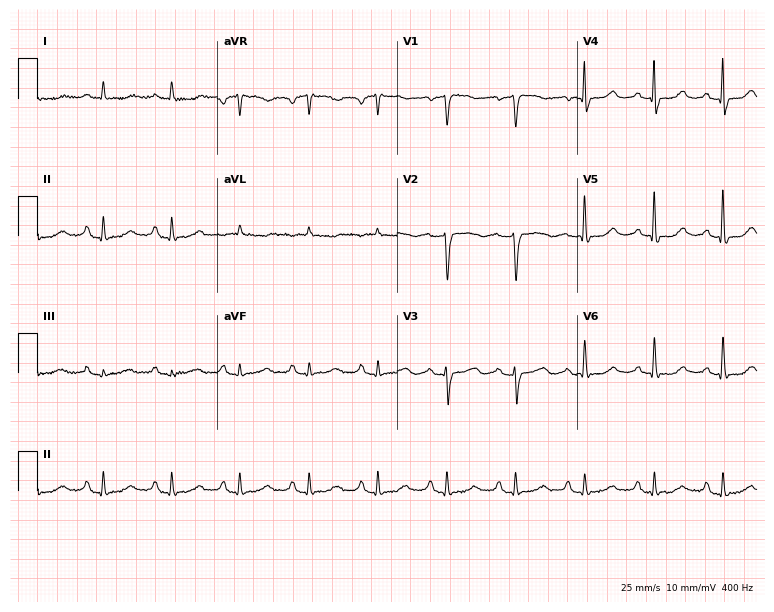
Resting 12-lead electrocardiogram (7.3-second recording at 400 Hz). Patient: a female, 82 years old. None of these six findings is recorded: first-degree AV block, right bundle branch block, left bundle branch block, sinus bradycardia, atrial fibrillation, sinus tachycardia.